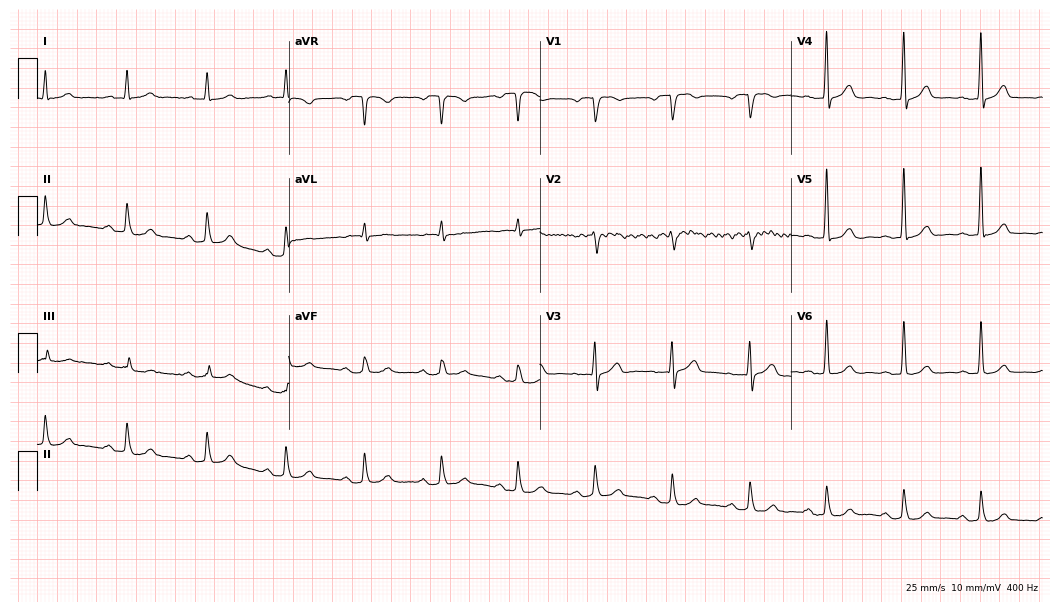
12-lead ECG from a man, 68 years old (10.2-second recording at 400 Hz). Recorded interpretation: within normal limits.